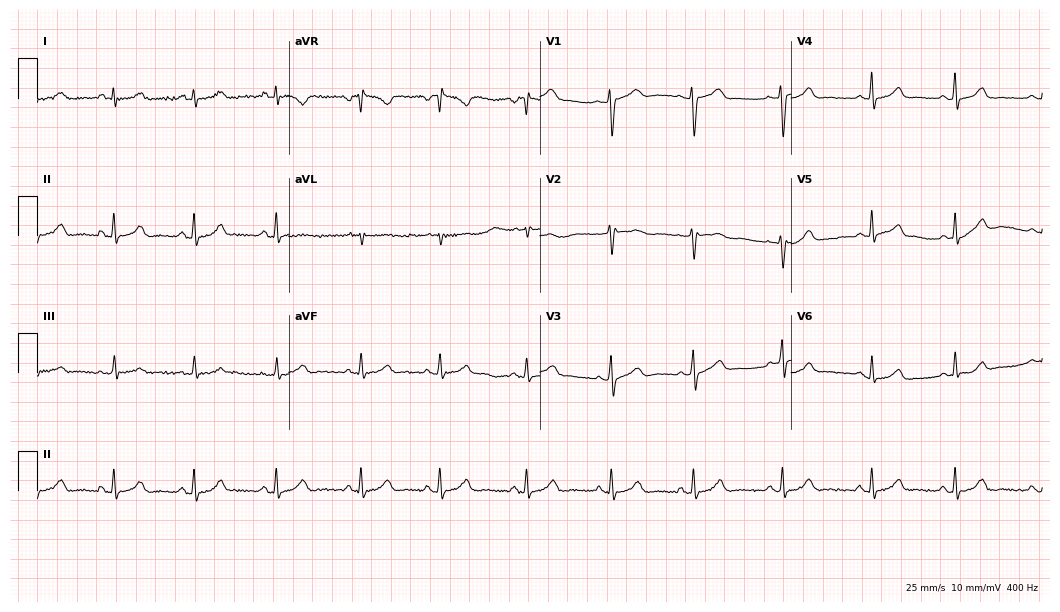
12-lead ECG from a female, 21 years old. Labelled as a normal ECG.